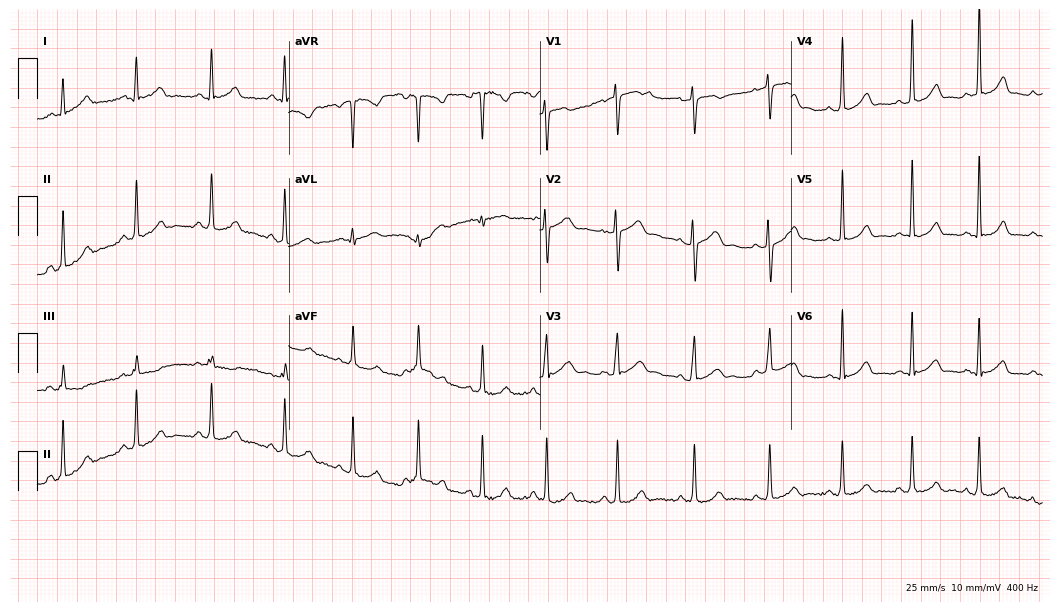
12-lead ECG from a 20-year-old female. Recorded interpretation: within normal limits.